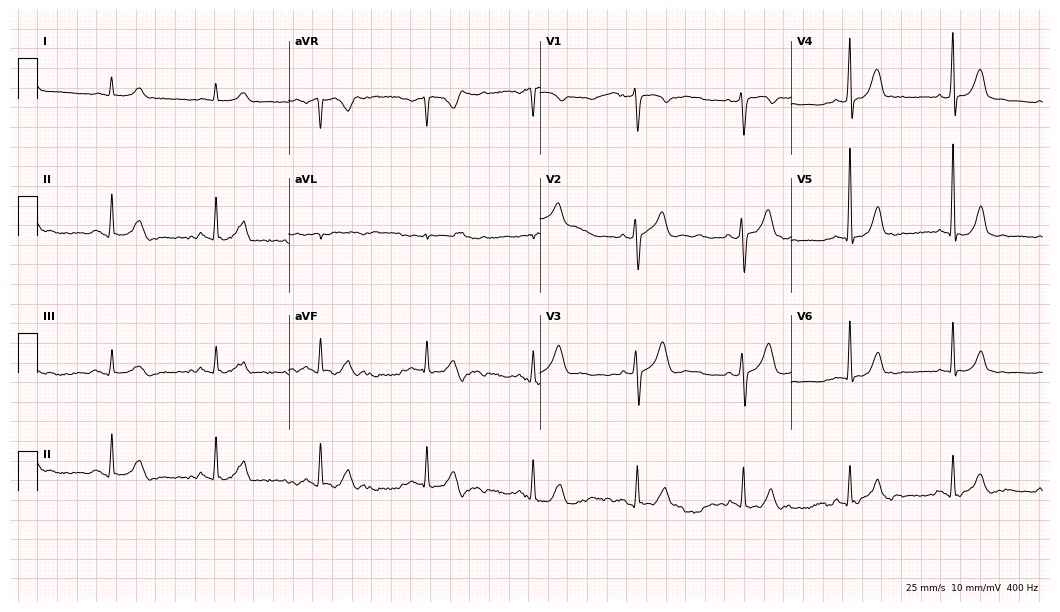
12-lead ECG from a male, 57 years old. Labelled as a normal ECG.